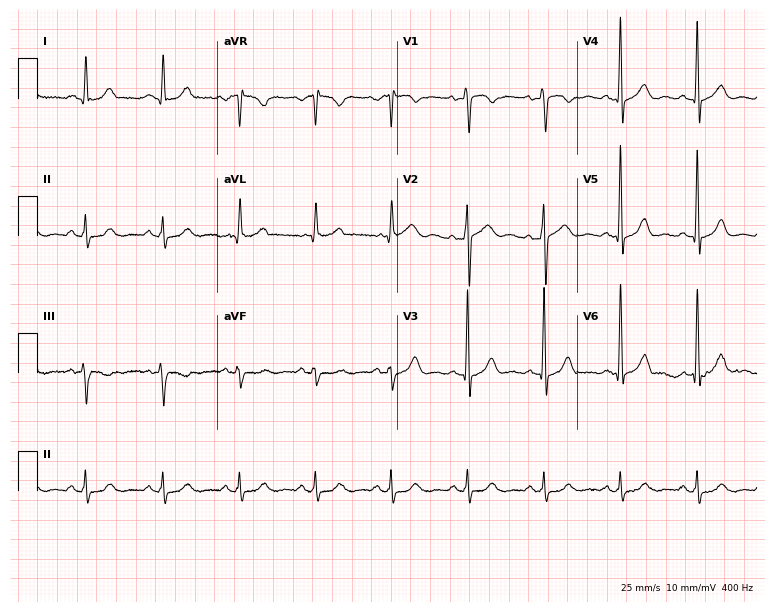
12-lead ECG from a 72-year-old male. Recorded interpretation: within normal limits.